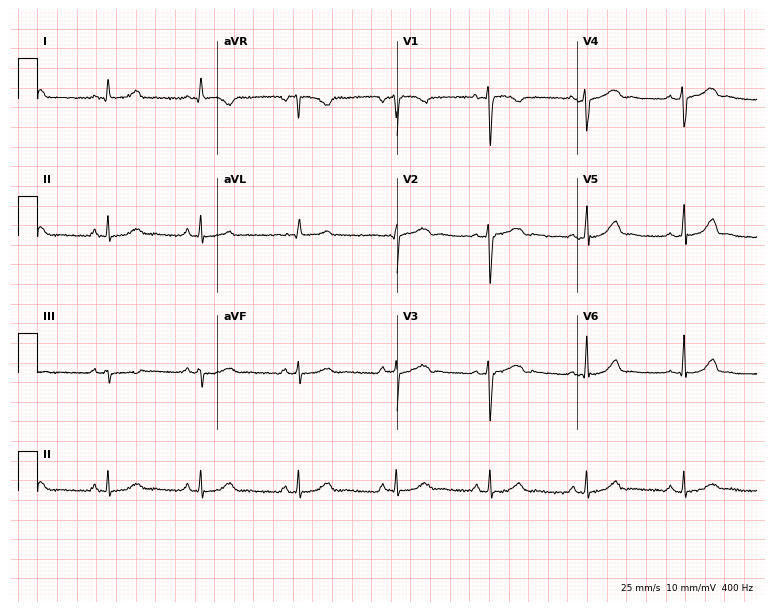
Standard 12-lead ECG recorded from a female patient, 28 years old. None of these six findings is recorded: first-degree AV block, right bundle branch block (RBBB), left bundle branch block (LBBB), sinus bradycardia, atrial fibrillation (AF), sinus tachycardia. Findings outside these six are not listed.